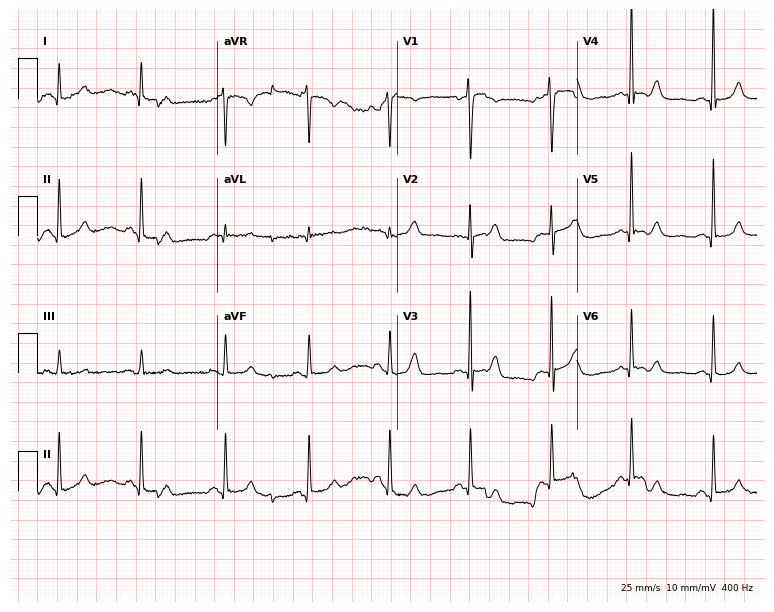
Electrocardiogram, a man, 45 years old. Overall reading on record: normal ECG.